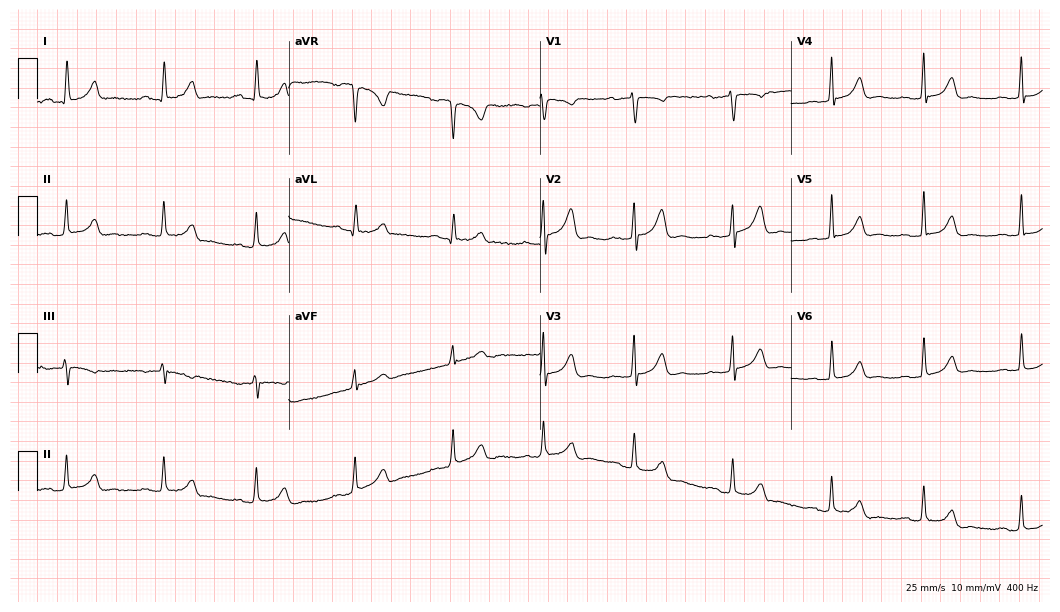
12-lead ECG (10.2-second recording at 400 Hz) from a 33-year-old female. Labelled as a normal ECG.